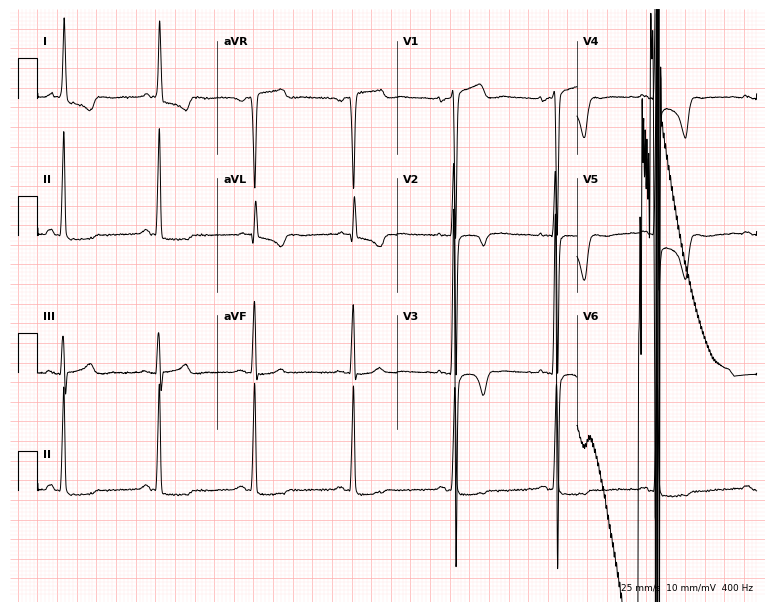
12-lead ECG (7.3-second recording at 400 Hz) from a woman, 57 years old. Screened for six findings — first-degree AV block, right bundle branch block, left bundle branch block, sinus bradycardia, atrial fibrillation, sinus tachycardia — none is recorded. Only these six findings were labelled.